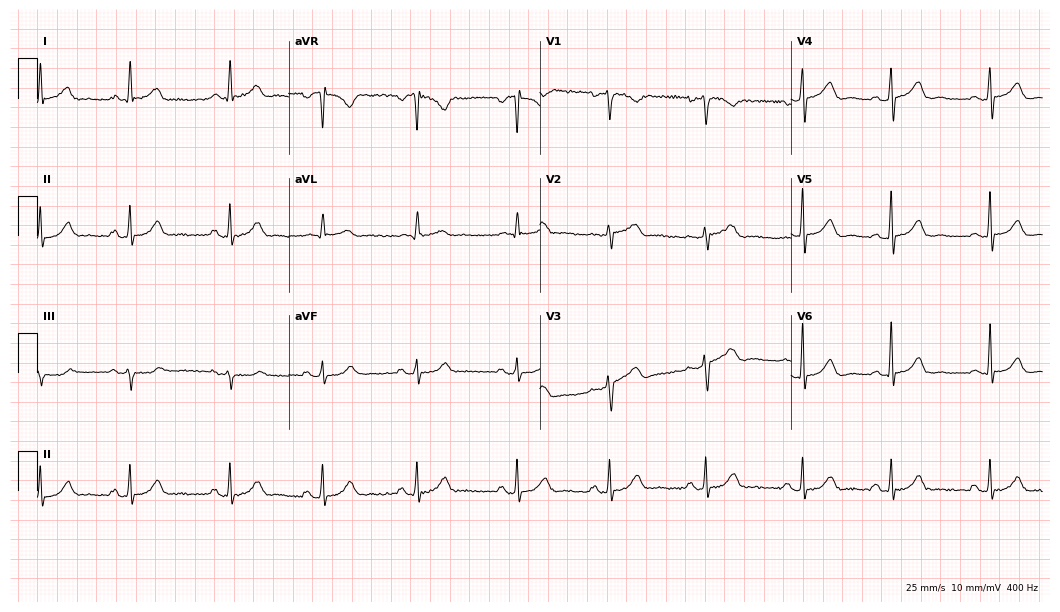
Standard 12-lead ECG recorded from a 73-year-old woman. Read as a normal ECG.